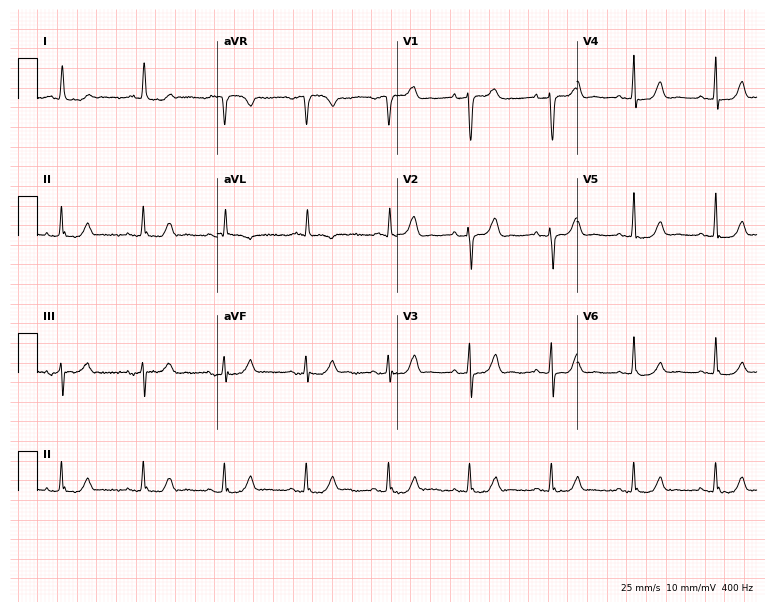
12-lead ECG (7.3-second recording at 400 Hz) from a female, 87 years old. Labelled as a normal ECG.